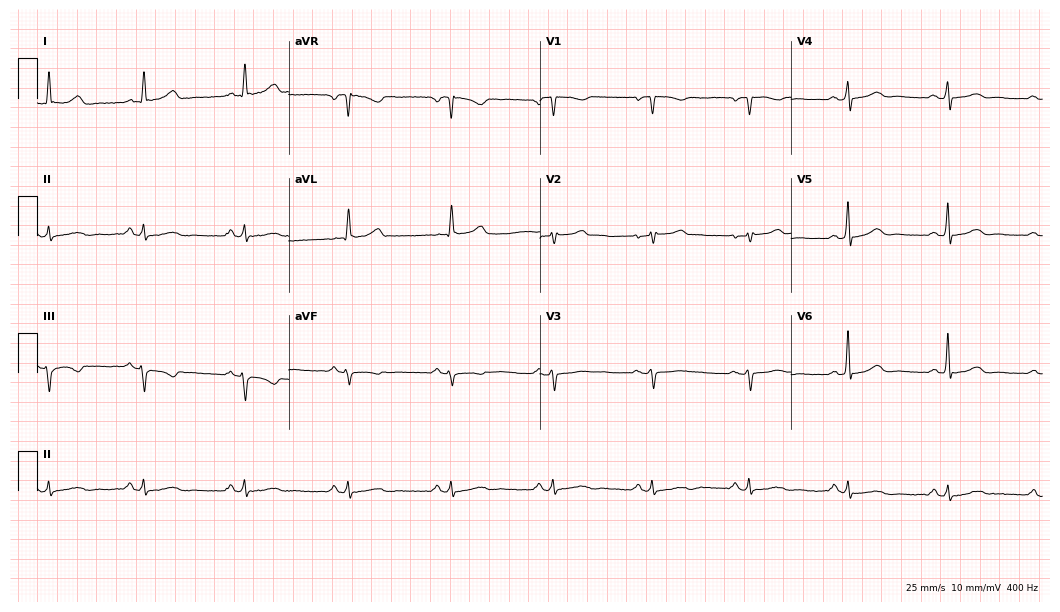
Electrocardiogram, a 62-year-old female patient. Of the six screened findings (first-degree AV block, right bundle branch block (RBBB), left bundle branch block (LBBB), sinus bradycardia, atrial fibrillation (AF), sinus tachycardia), none is recorded.